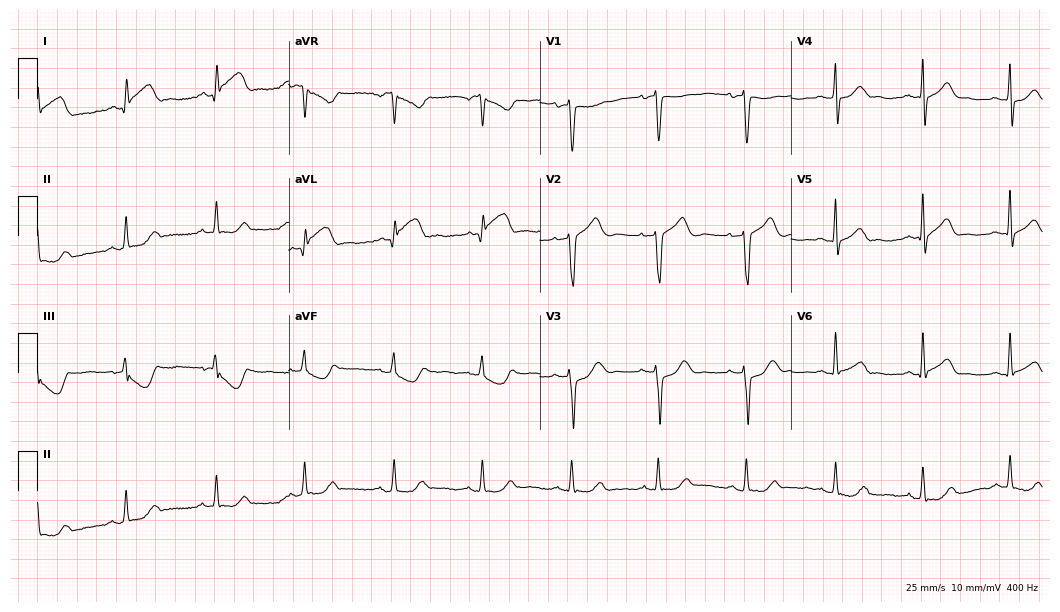
Electrocardiogram, a female, 80 years old. Overall reading on record: normal ECG.